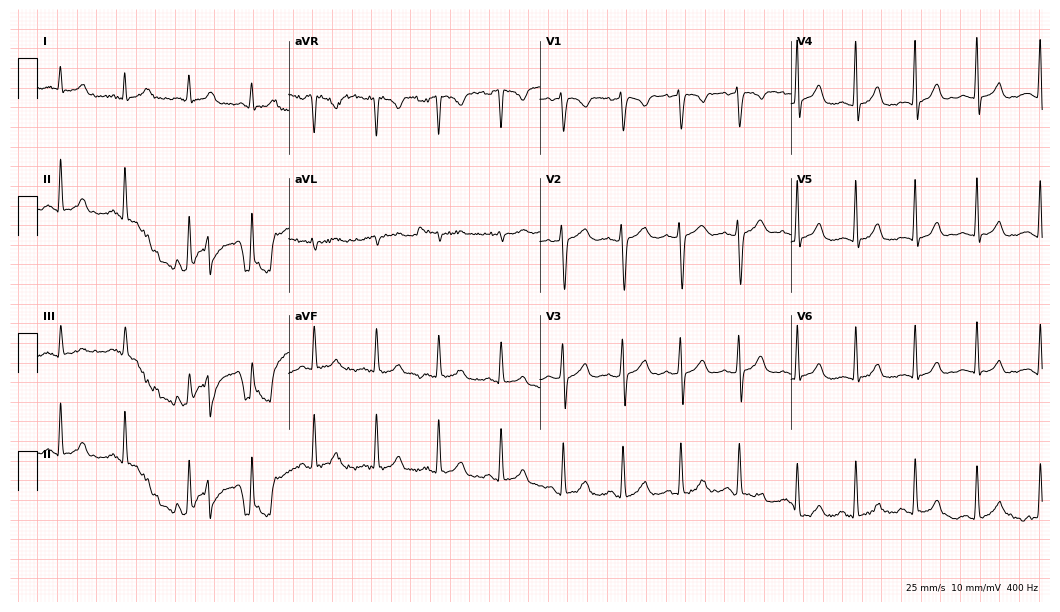
12-lead ECG from a 38-year-old female patient. Recorded interpretation: within normal limits.